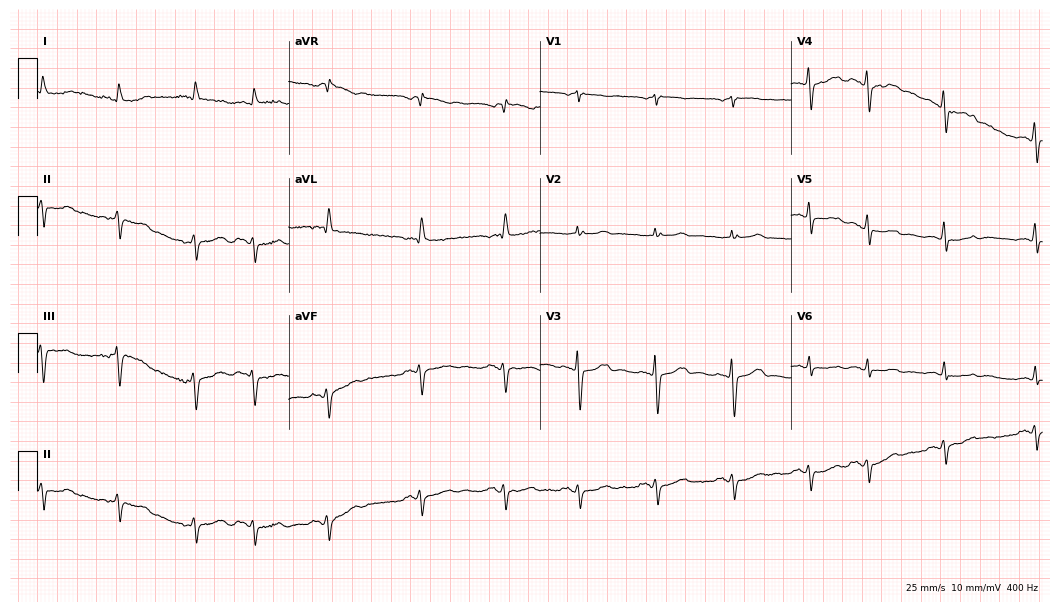
12-lead ECG (10.2-second recording at 400 Hz) from an 85-year-old male patient. Screened for six findings — first-degree AV block, right bundle branch block, left bundle branch block, sinus bradycardia, atrial fibrillation, sinus tachycardia — none is recorded. Only these six findings were labelled.